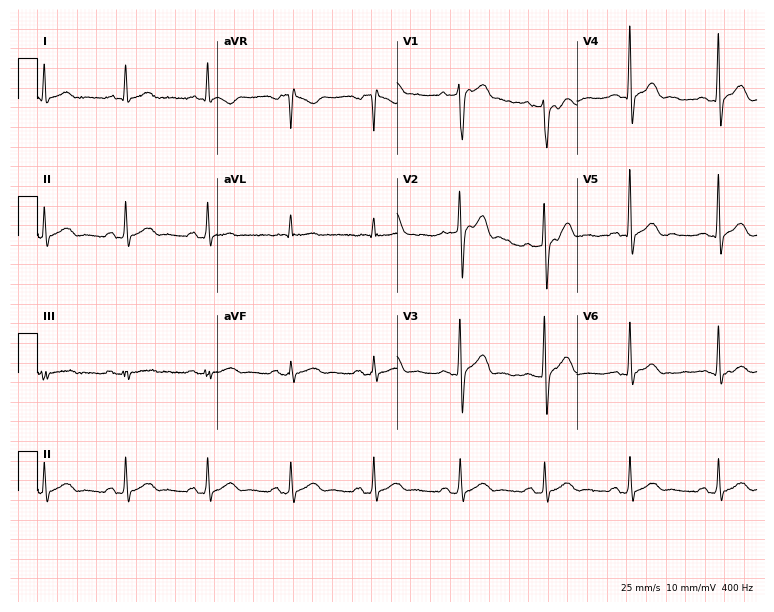
Standard 12-lead ECG recorded from a 41-year-old man (7.3-second recording at 400 Hz). Read as a normal ECG.